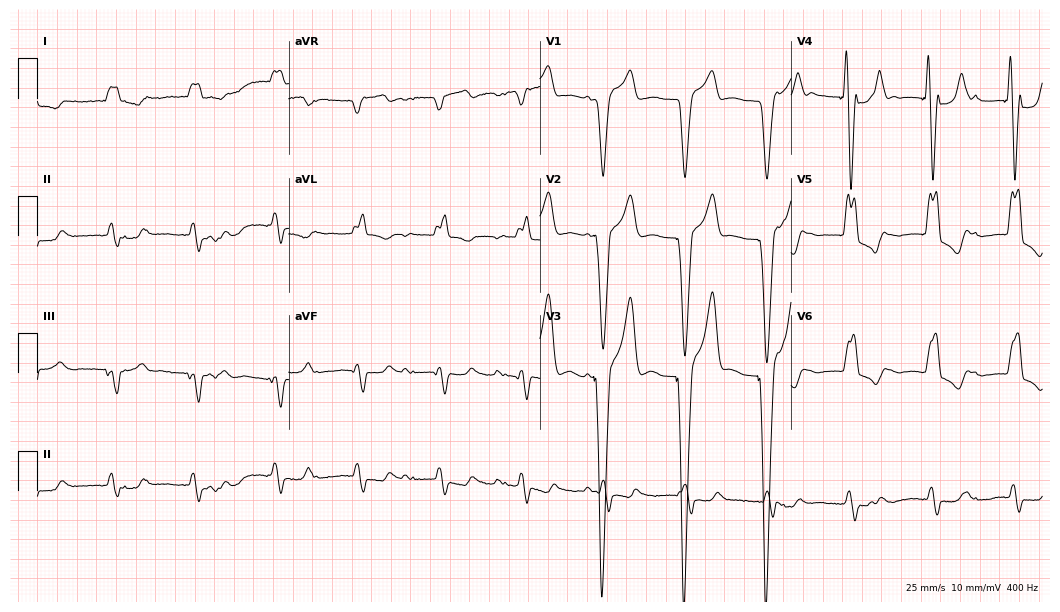
12-lead ECG (10.2-second recording at 400 Hz) from an 81-year-old male patient. Findings include left bundle branch block (LBBB).